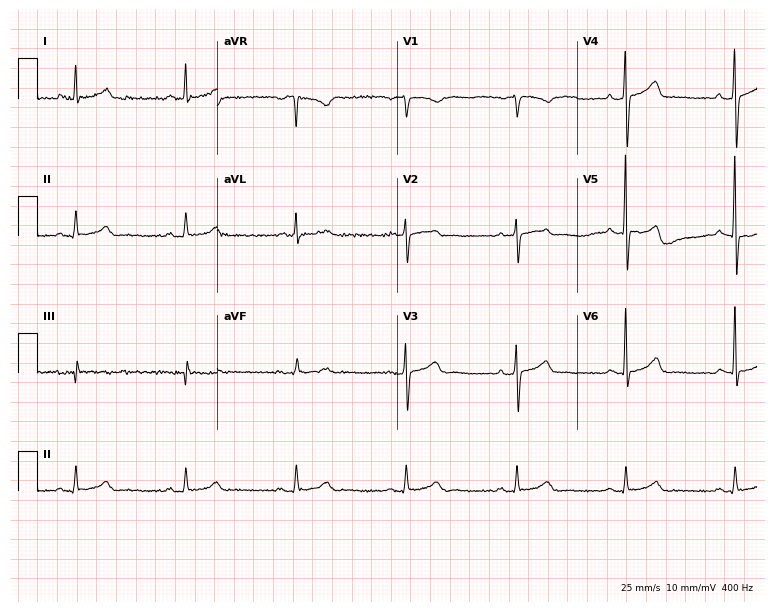
Resting 12-lead electrocardiogram (7.3-second recording at 400 Hz). Patient: a 63-year-old man. None of these six findings is recorded: first-degree AV block, right bundle branch block, left bundle branch block, sinus bradycardia, atrial fibrillation, sinus tachycardia.